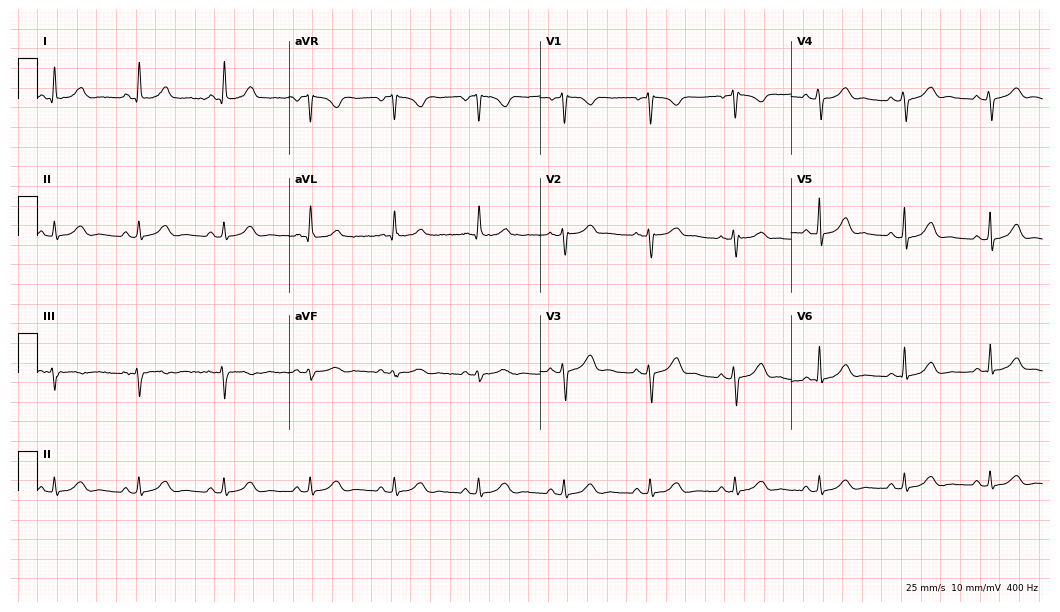
Standard 12-lead ECG recorded from a woman, 42 years old (10.2-second recording at 400 Hz). Read as a normal ECG.